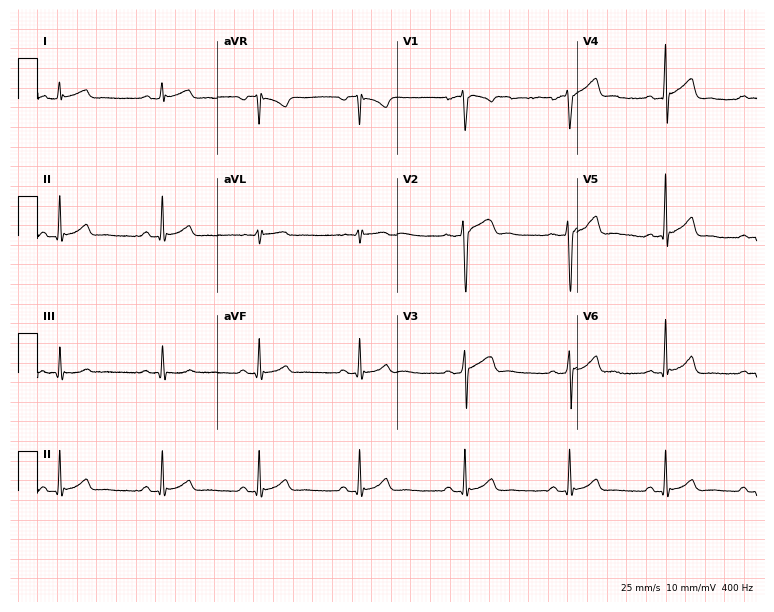
Resting 12-lead electrocardiogram (7.3-second recording at 400 Hz). Patient: a male, 33 years old. Read as a normal ECG.